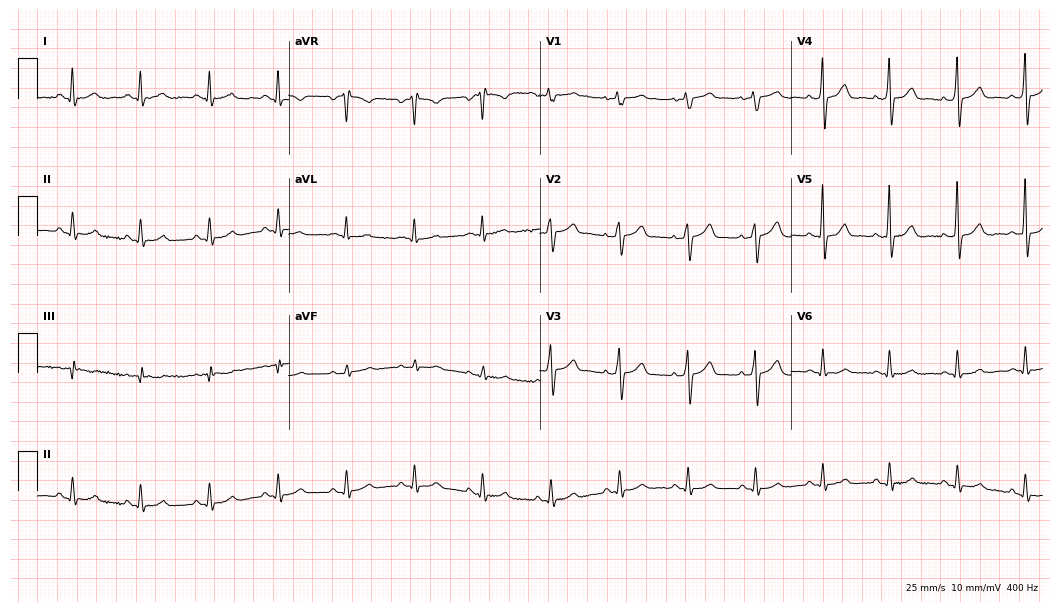
12-lead ECG (10.2-second recording at 400 Hz) from a 37-year-old female. Screened for six findings — first-degree AV block, right bundle branch block, left bundle branch block, sinus bradycardia, atrial fibrillation, sinus tachycardia — none is recorded. Findings outside these six are not listed.